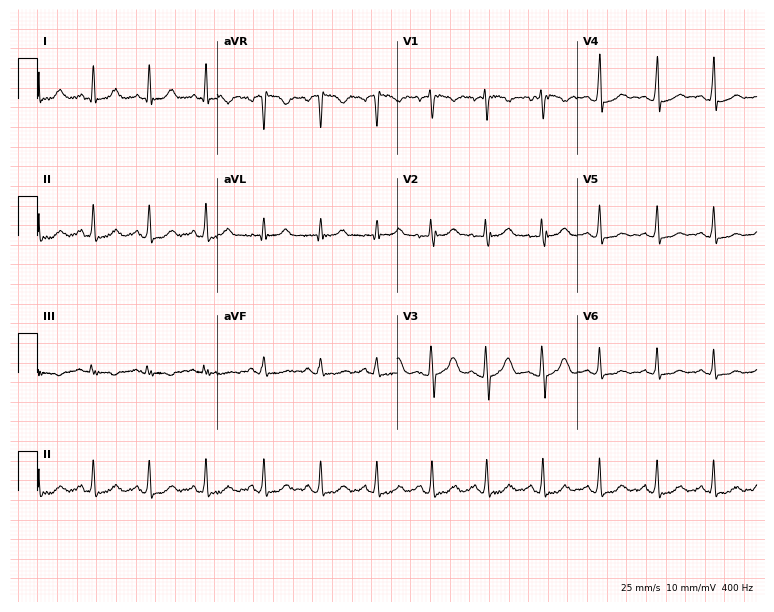
ECG (7.3-second recording at 400 Hz) — a 21-year-old woman. Findings include sinus tachycardia (a sinus rate of 100 beats per minute or more).